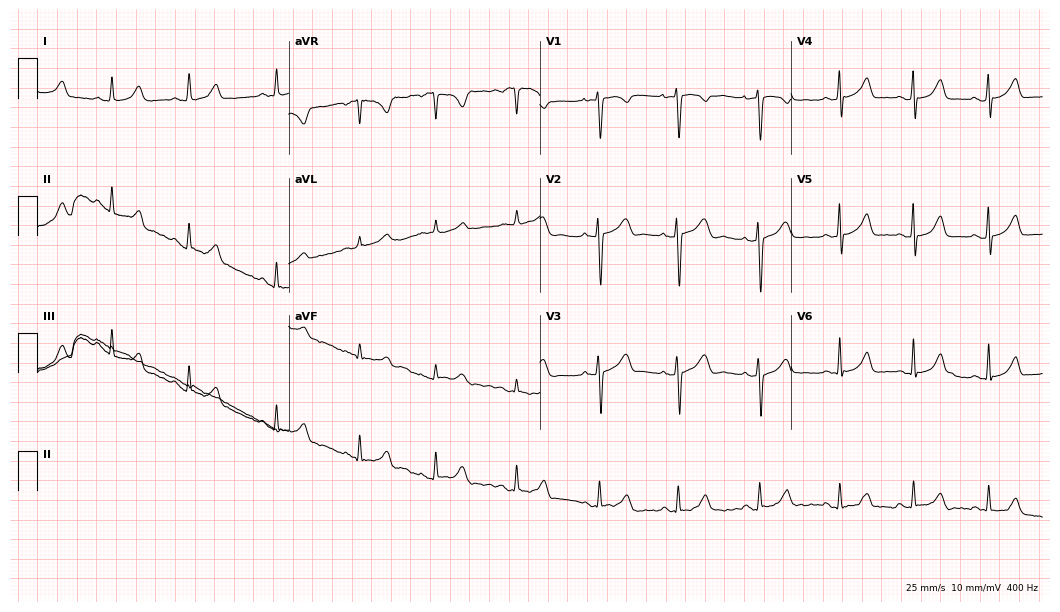
12-lead ECG from an 18-year-old female. Recorded interpretation: within normal limits.